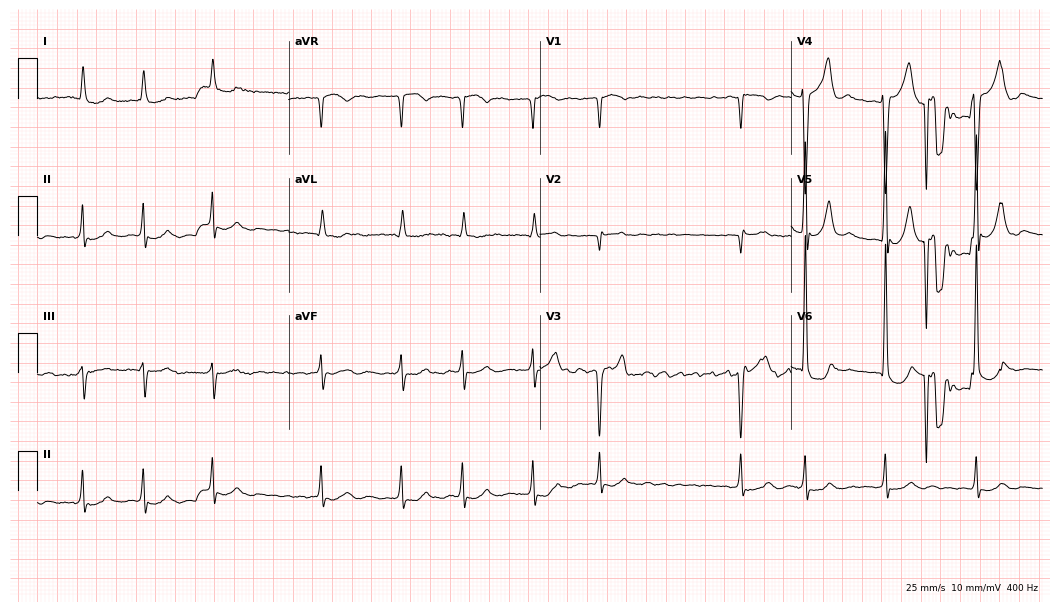
12-lead ECG from a male, 81 years old. Findings include atrial fibrillation.